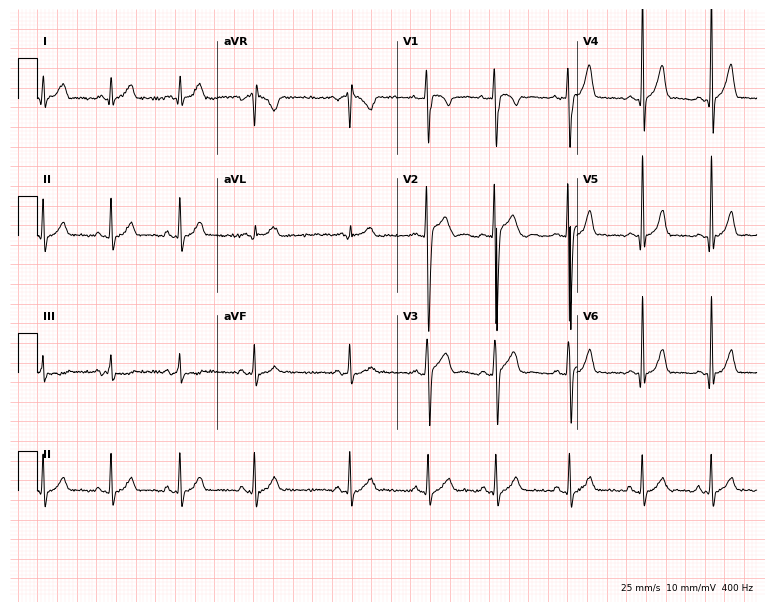
12-lead ECG from a man, 17 years old. Labelled as a normal ECG.